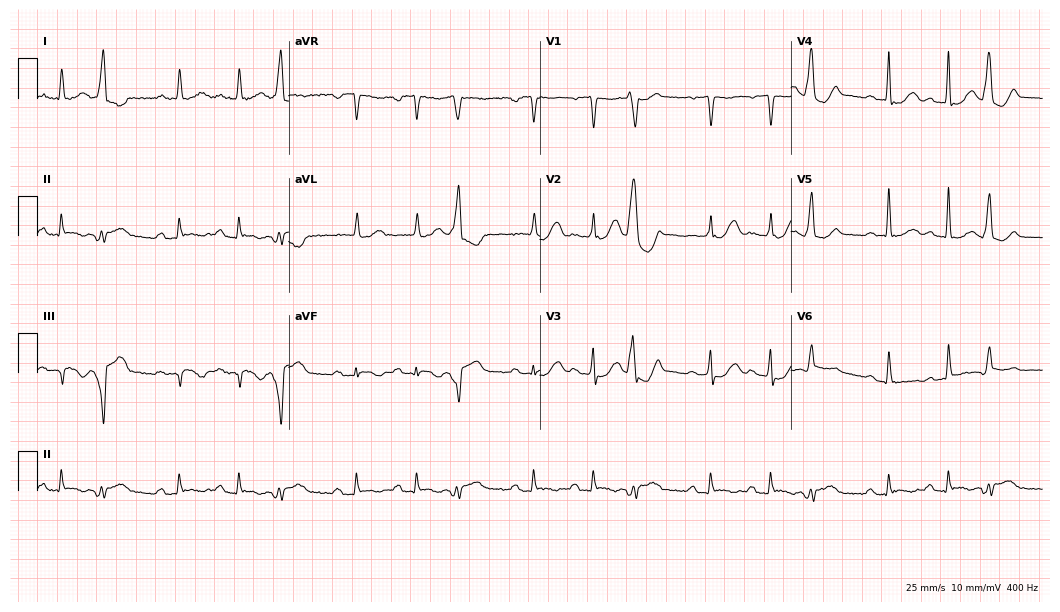
Resting 12-lead electrocardiogram (10.2-second recording at 400 Hz). Patient: a 63-year-old woman. The tracing shows first-degree AV block.